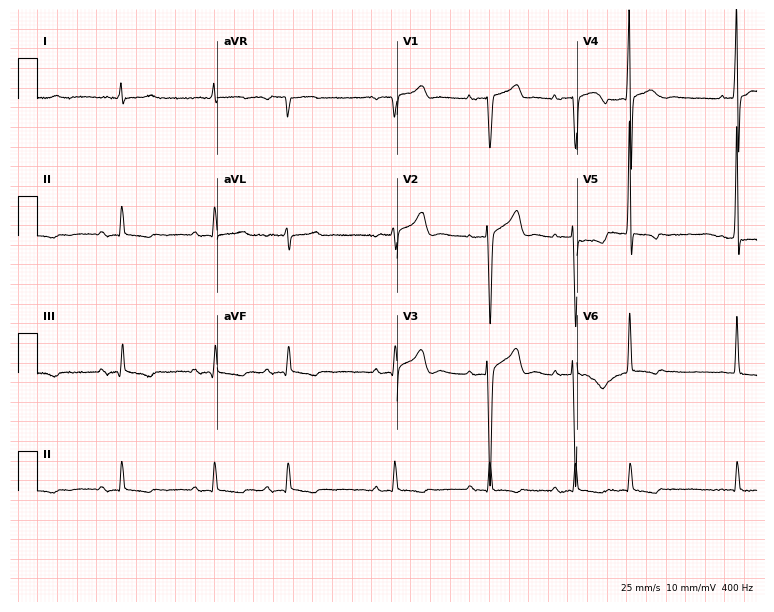
Resting 12-lead electrocardiogram (7.3-second recording at 400 Hz). Patient: a 76-year-old female. None of these six findings is recorded: first-degree AV block, right bundle branch block, left bundle branch block, sinus bradycardia, atrial fibrillation, sinus tachycardia. Only these six findings were labelled.